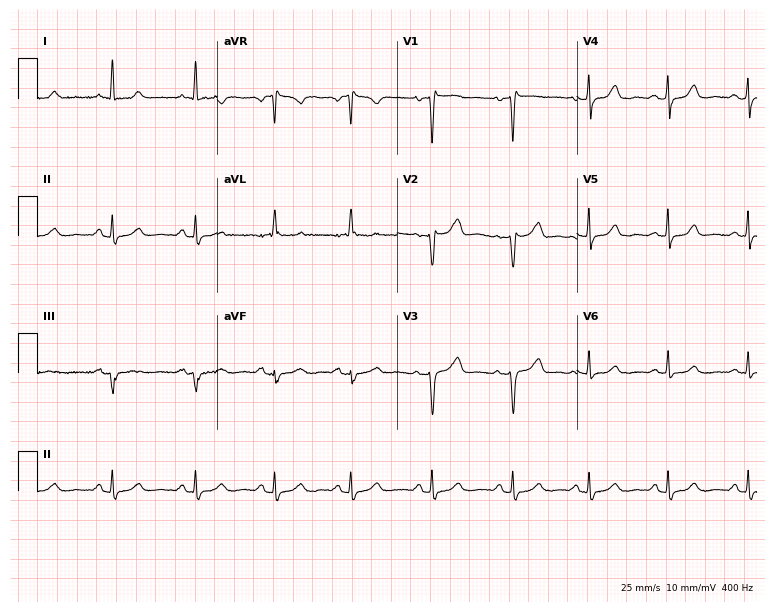
12-lead ECG from a 47-year-old woman (7.3-second recording at 400 Hz). Recorded interpretation: within normal limits.